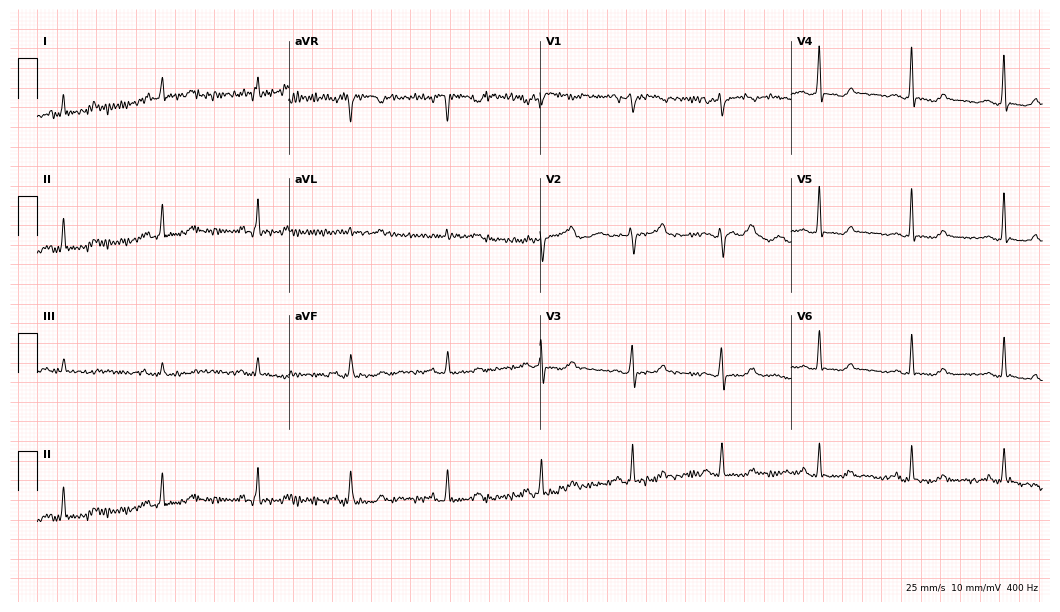
Standard 12-lead ECG recorded from a female patient, 74 years old. None of these six findings is recorded: first-degree AV block, right bundle branch block (RBBB), left bundle branch block (LBBB), sinus bradycardia, atrial fibrillation (AF), sinus tachycardia.